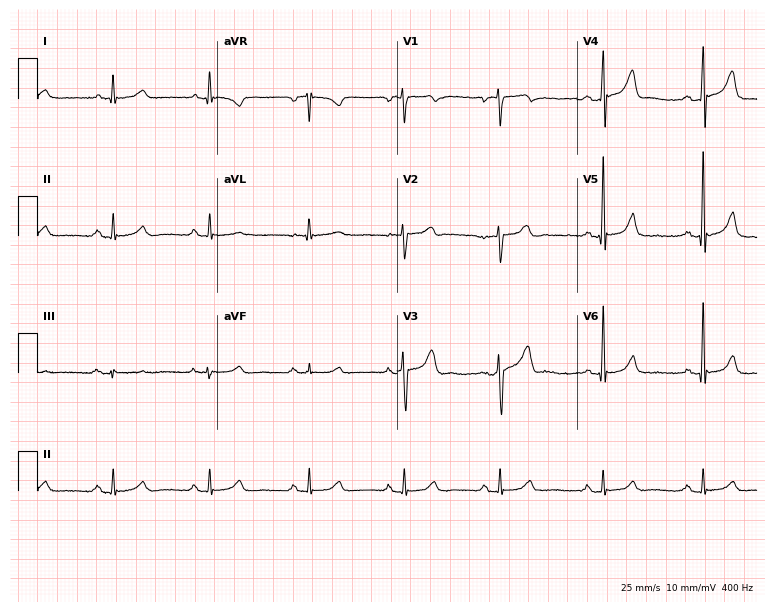
ECG (7.3-second recording at 400 Hz) — a 52-year-old male. Screened for six findings — first-degree AV block, right bundle branch block, left bundle branch block, sinus bradycardia, atrial fibrillation, sinus tachycardia — none is recorded. Findings outside these six are not listed.